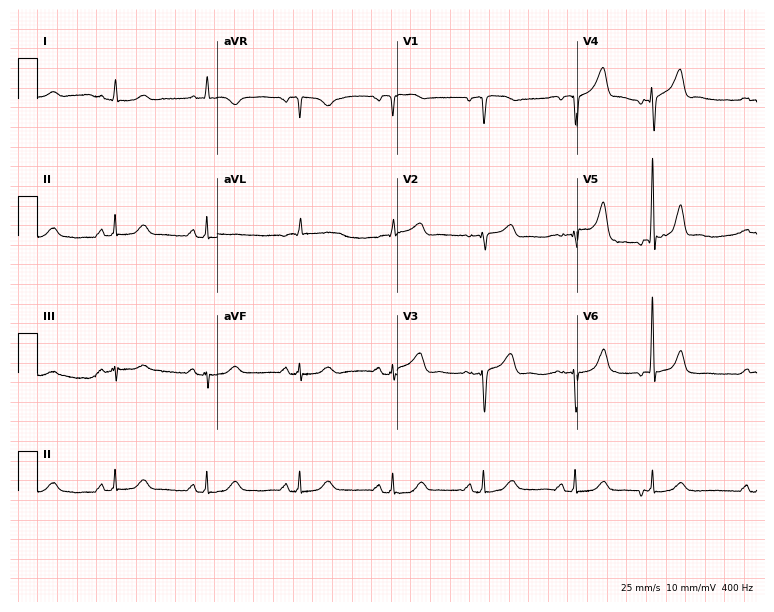
ECG (7.3-second recording at 400 Hz) — a 69-year-old woman. Screened for six findings — first-degree AV block, right bundle branch block, left bundle branch block, sinus bradycardia, atrial fibrillation, sinus tachycardia — none is recorded. Only these six findings were labelled.